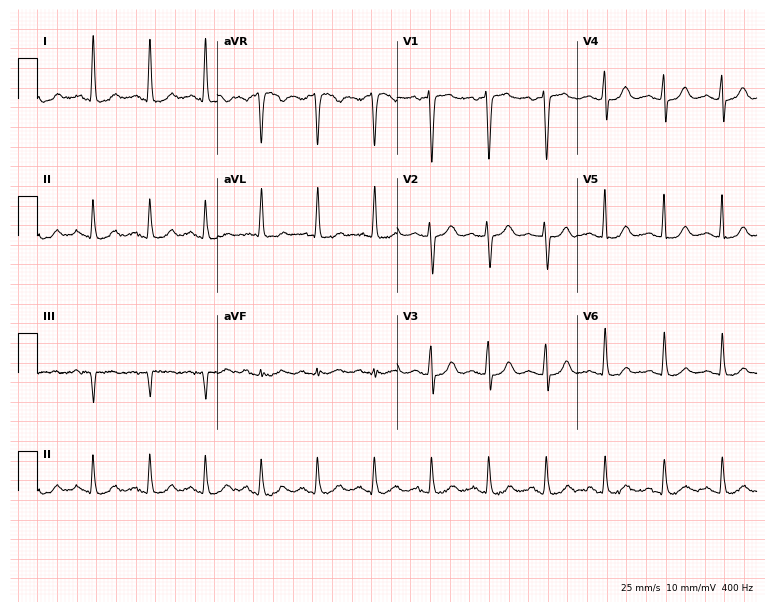
ECG — a 46-year-old female patient. Findings include sinus tachycardia (a sinus rate of 100 beats per minute or more).